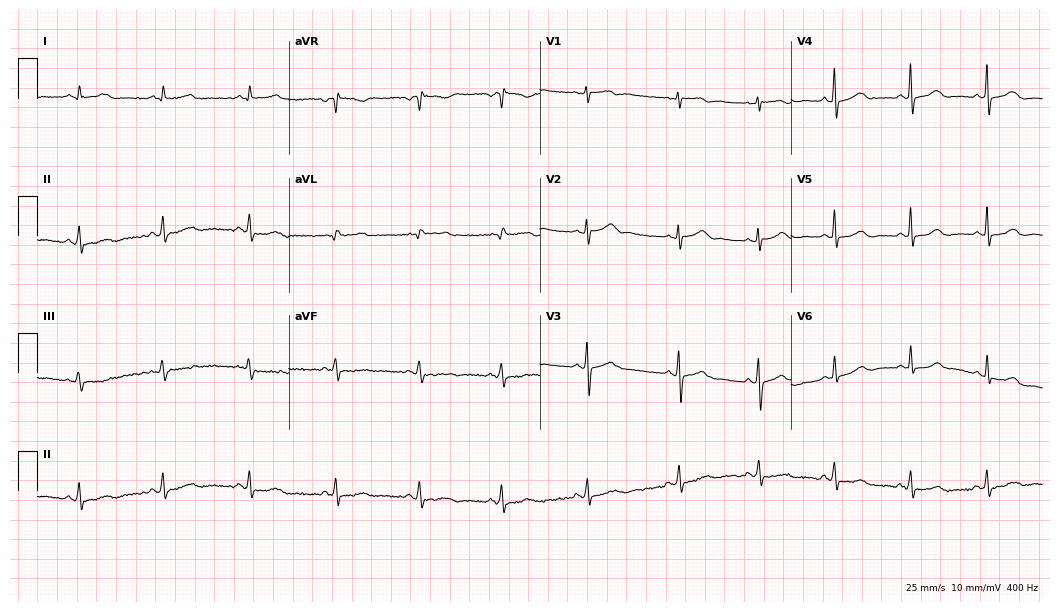
Resting 12-lead electrocardiogram (10.2-second recording at 400 Hz). Patient: a woman, 39 years old. Read as a normal ECG.